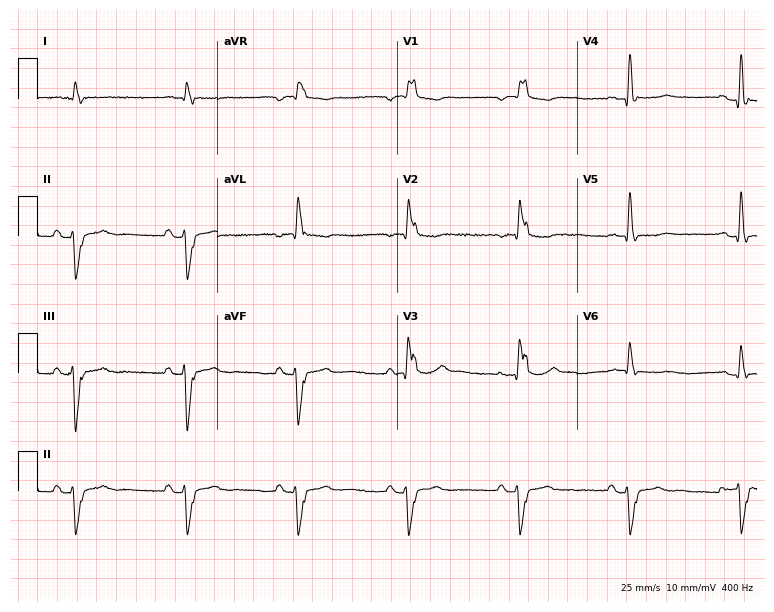
Resting 12-lead electrocardiogram (7.3-second recording at 400 Hz). Patient: a man, 70 years old. The tracing shows right bundle branch block.